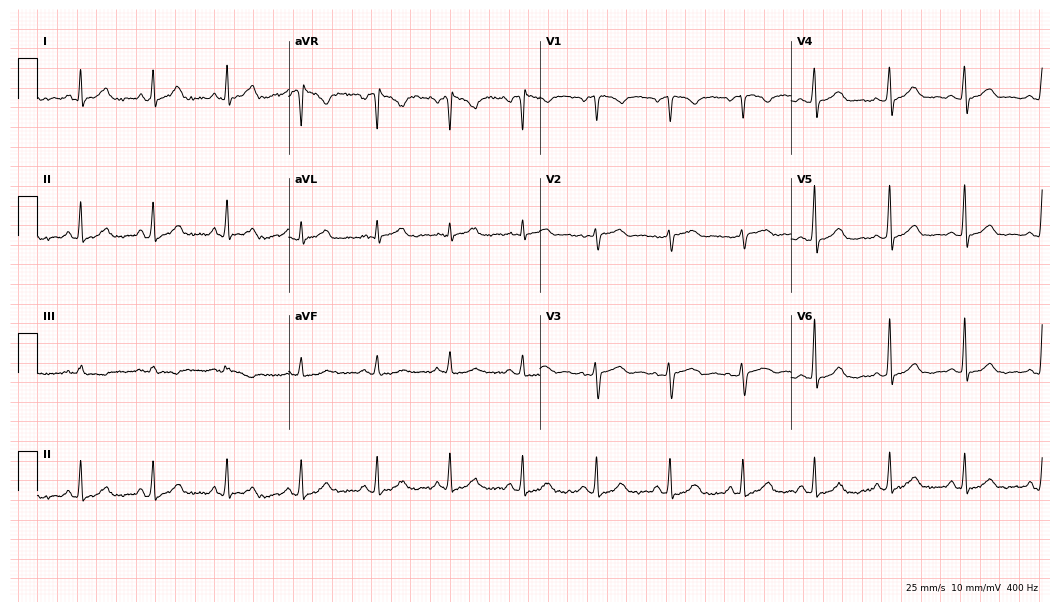
Electrocardiogram (10.2-second recording at 400 Hz), a female patient, 47 years old. Of the six screened findings (first-degree AV block, right bundle branch block, left bundle branch block, sinus bradycardia, atrial fibrillation, sinus tachycardia), none is recorded.